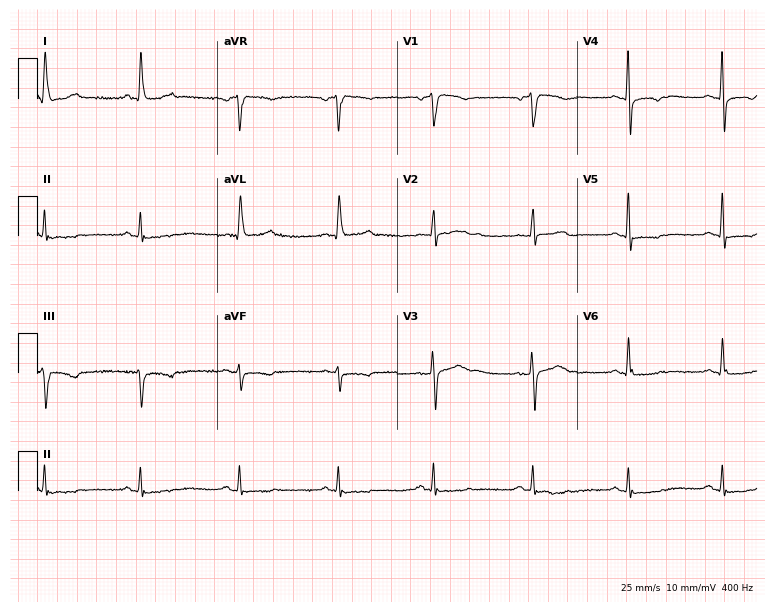
12-lead ECG from a woman, 62 years old. Screened for six findings — first-degree AV block, right bundle branch block (RBBB), left bundle branch block (LBBB), sinus bradycardia, atrial fibrillation (AF), sinus tachycardia — none is recorded. Findings outside these six are not listed.